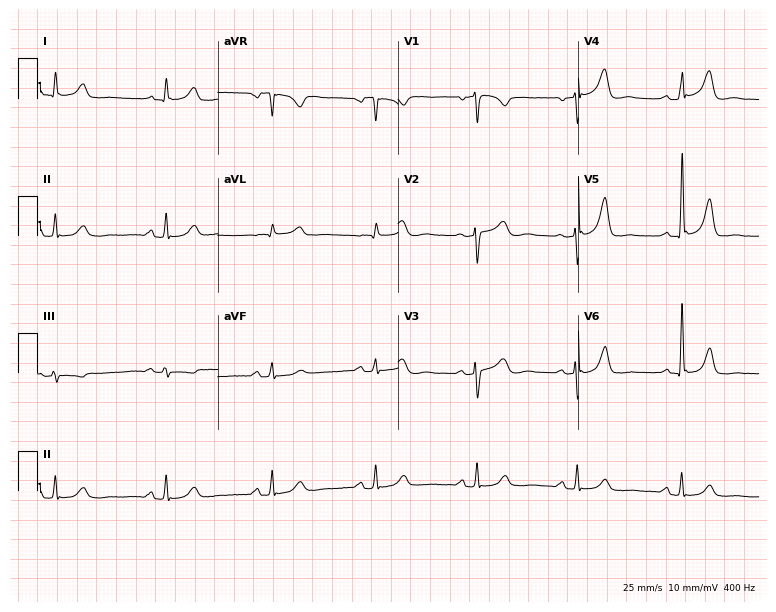
12-lead ECG from a 50-year-old woman. Screened for six findings — first-degree AV block, right bundle branch block, left bundle branch block, sinus bradycardia, atrial fibrillation, sinus tachycardia — none is recorded.